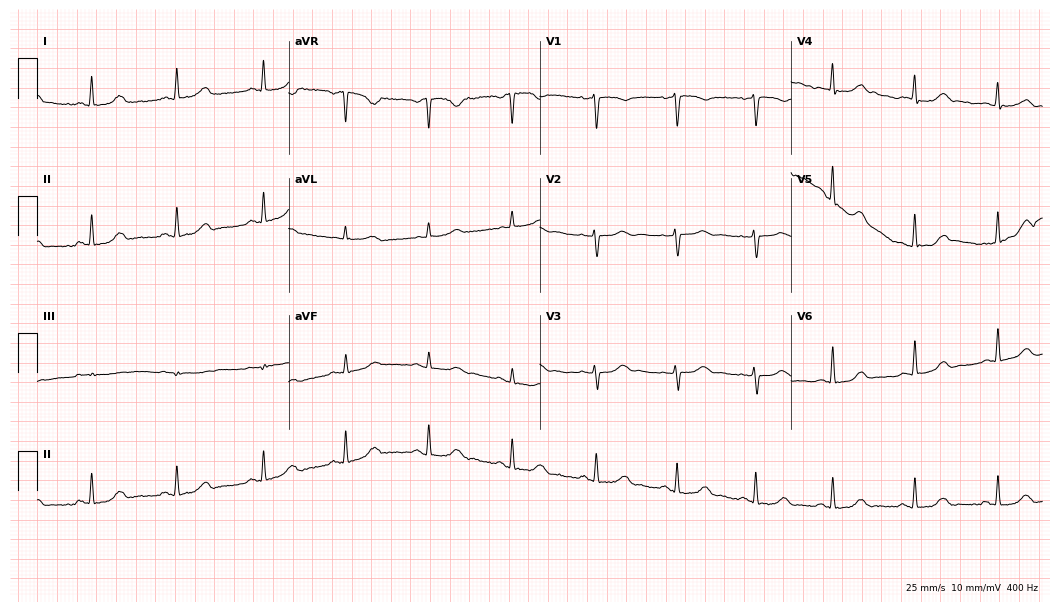
Standard 12-lead ECG recorded from a woman, 60 years old (10.2-second recording at 400 Hz). Read as a normal ECG.